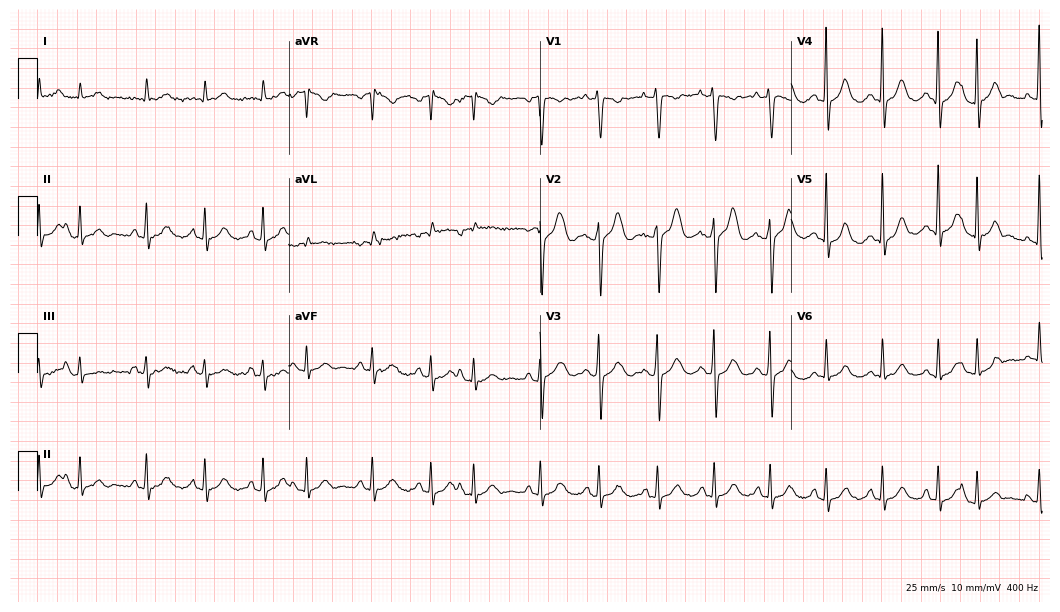
ECG (10.2-second recording at 400 Hz) — an 83-year-old female. Findings include sinus tachycardia (a sinus rate of 100 beats per minute or more).